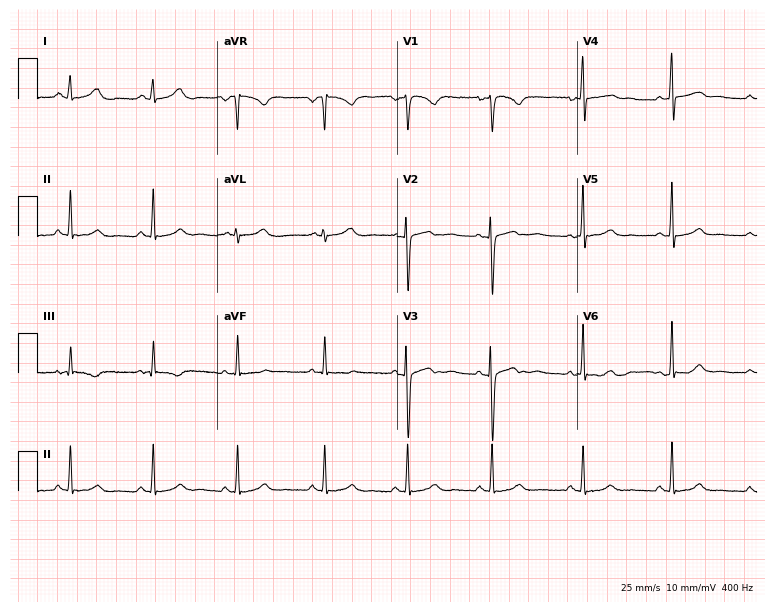
Electrocardiogram, a 29-year-old female. Overall reading on record: normal ECG.